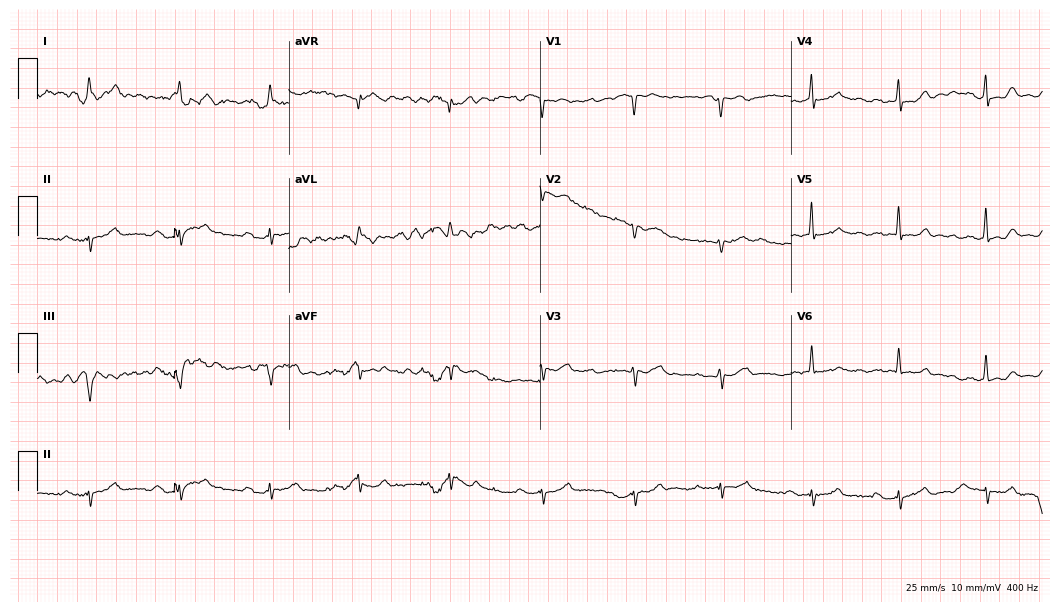
Electrocardiogram (10.2-second recording at 400 Hz), an 83-year-old man. Of the six screened findings (first-degree AV block, right bundle branch block, left bundle branch block, sinus bradycardia, atrial fibrillation, sinus tachycardia), none is recorded.